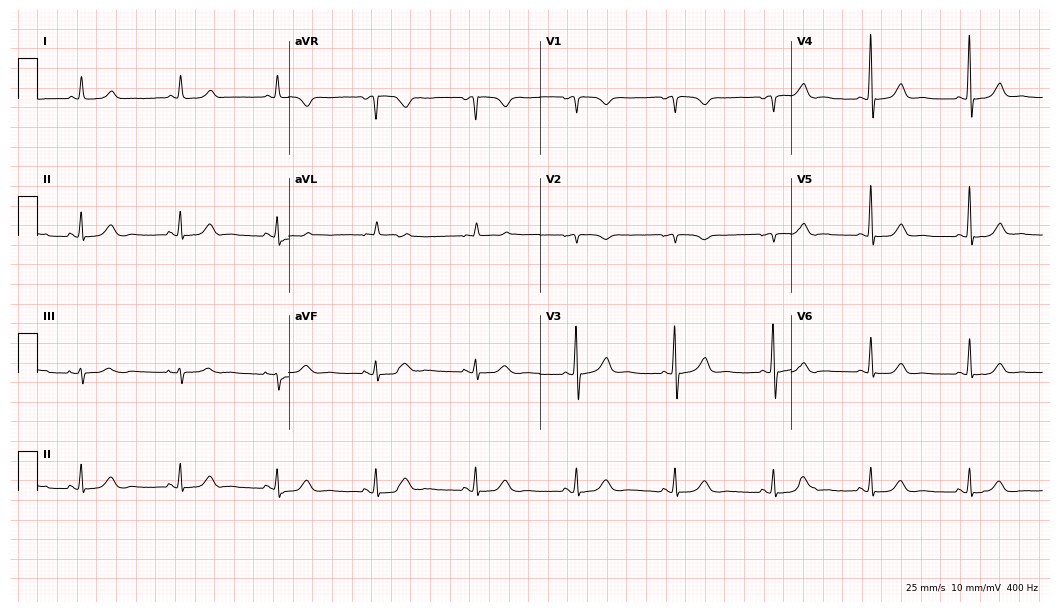
Standard 12-lead ECG recorded from a female, 79 years old. Read as a normal ECG.